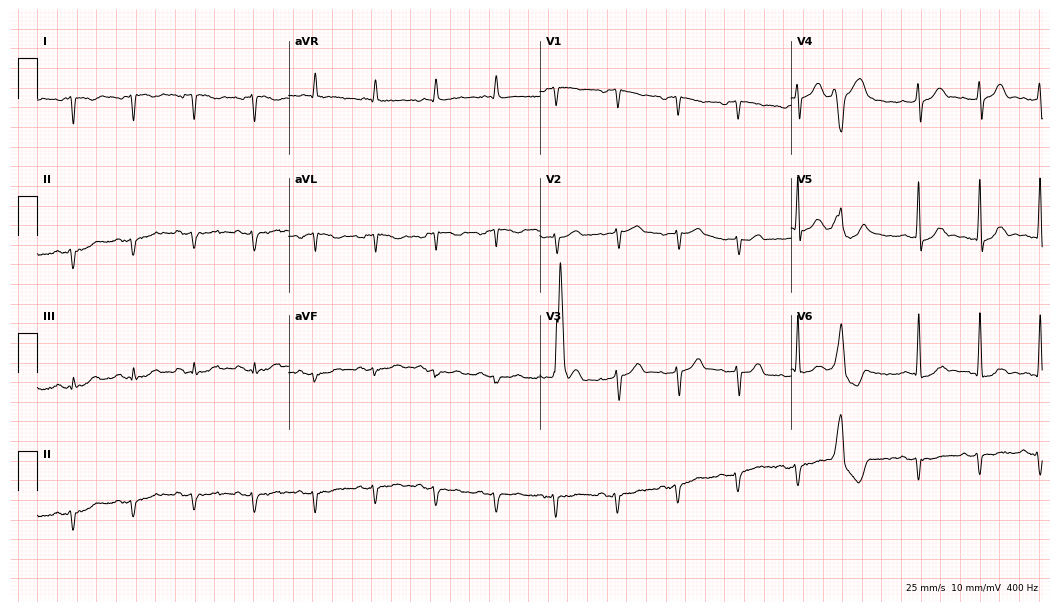
12-lead ECG from a 75-year-old man. No first-degree AV block, right bundle branch block (RBBB), left bundle branch block (LBBB), sinus bradycardia, atrial fibrillation (AF) or sinus tachycardia recorded for this tracing.